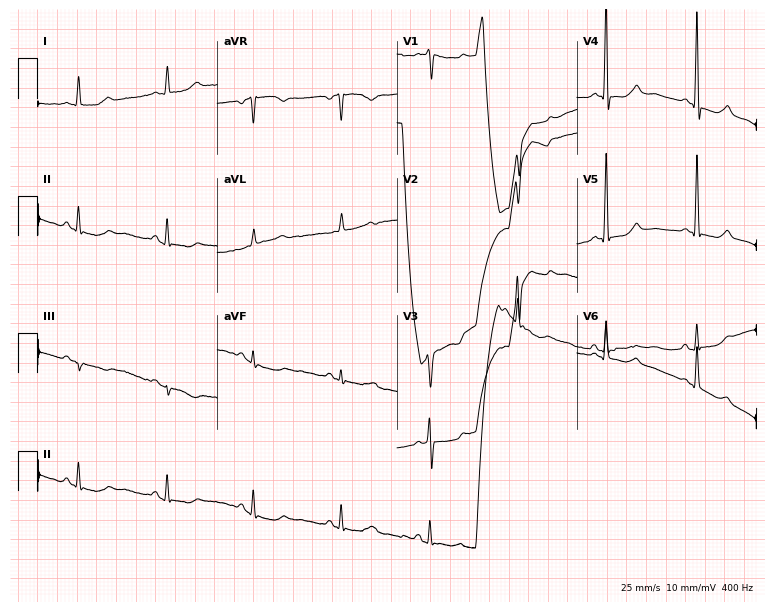
12-lead ECG from a female, 78 years old. No first-degree AV block, right bundle branch block, left bundle branch block, sinus bradycardia, atrial fibrillation or sinus tachycardia recorded for this tracing.